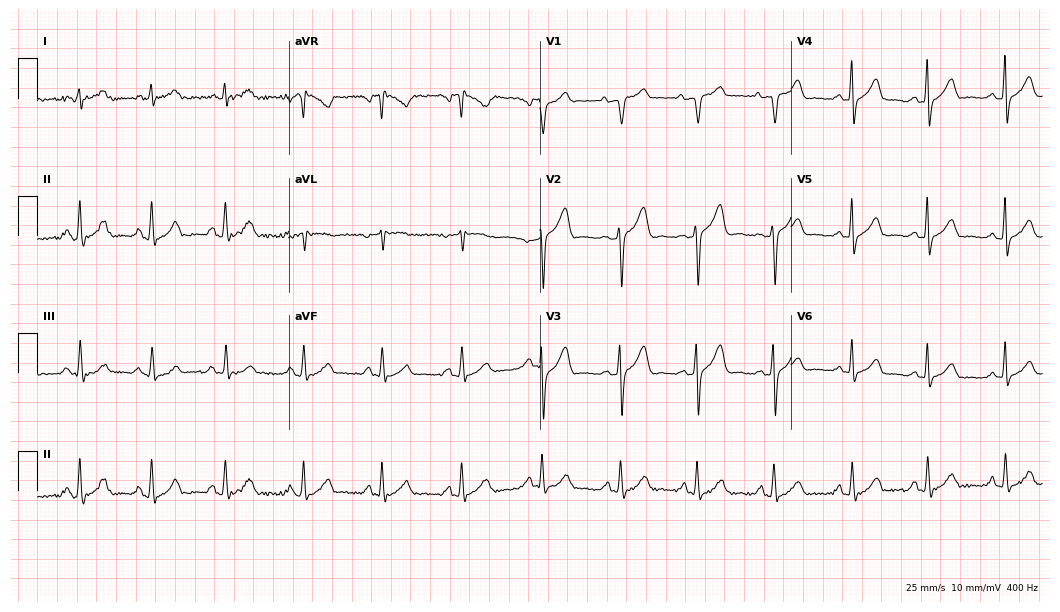
Resting 12-lead electrocardiogram (10.2-second recording at 400 Hz). Patient: a 49-year-old woman. Read as a normal ECG.